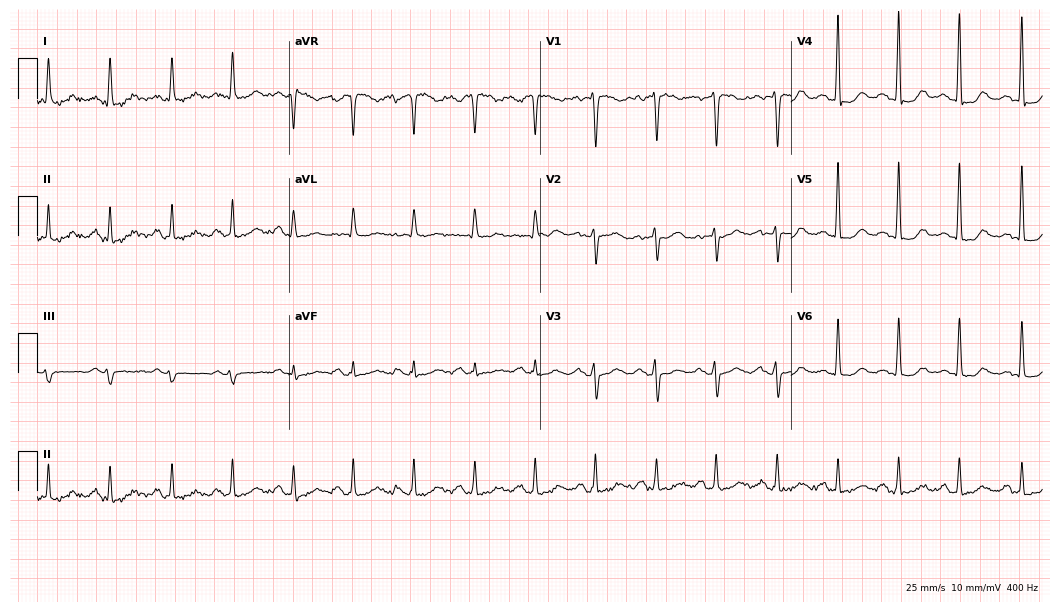
Electrocardiogram (10.2-second recording at 400 Hz), a 55-year-old woman. Of the six screened findings (first-degree AV block, right bundle branch block, left bundle branch block, sinus bradycardia, atrial fibrillation, sinus tachycardia), none is recorded. Only these six findings were labelled.